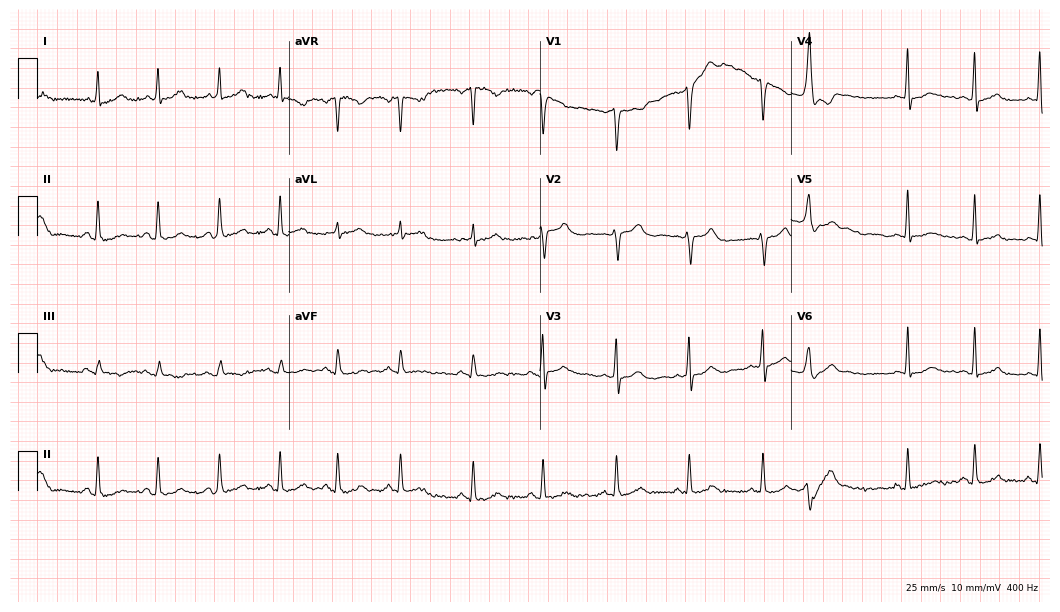
12-lead ECG from a 31-year-old female patient (10.2-second recording at 400 Hz). No first-degree AV block, right bundle branch block, left bundle branch block, sinus bradycardia, atrial fibrillation or sinus tachycardia recorded for this tracing.